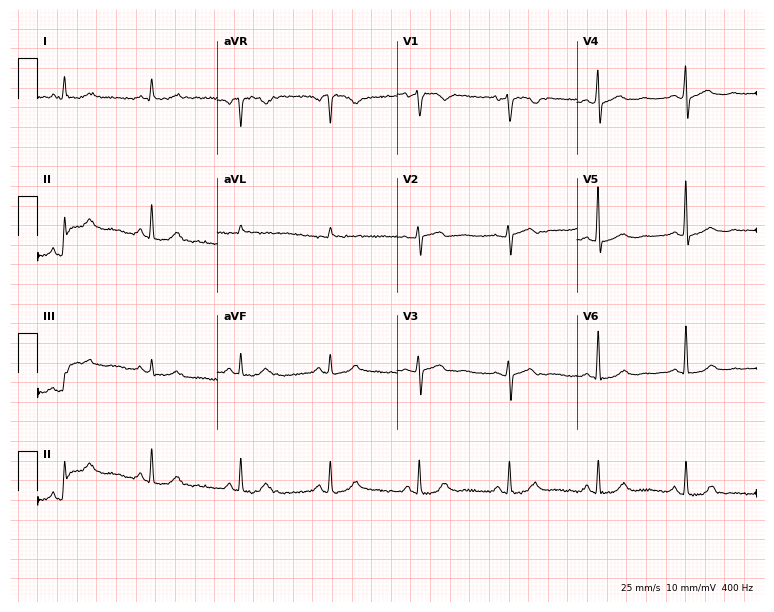
ECG — a female, 55 years old. Screened for six findings — first-degree AV block, right bundle branch block, left bundle branch block, sinus bradycardia, atrial fibrillation, sinus tachycardia — none is recorded.